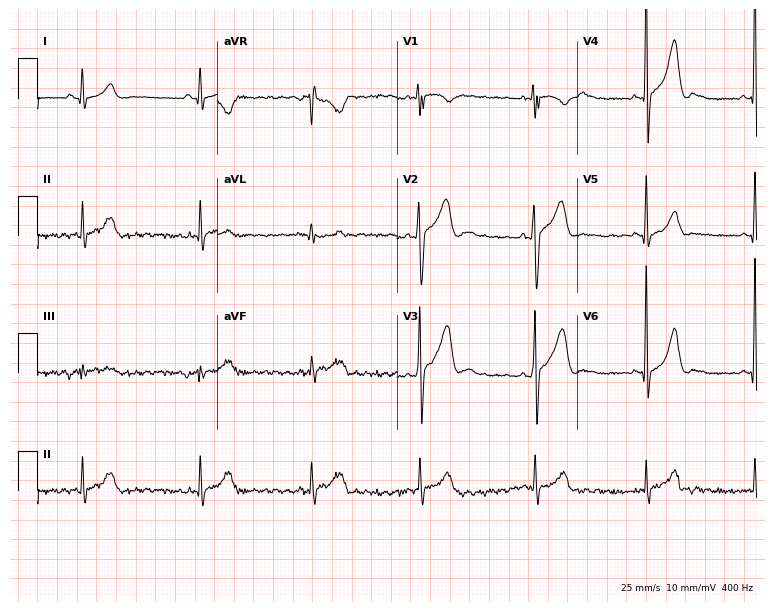
ECG (7.3-second recording at 400 Hz) — a male, 17 years old. Screened for six findings — first-degree AV block, right bundle branch block, left bundle branch block, sinus bradycardia, atrial fibrillation, sinus tachycardia — none is recorded.